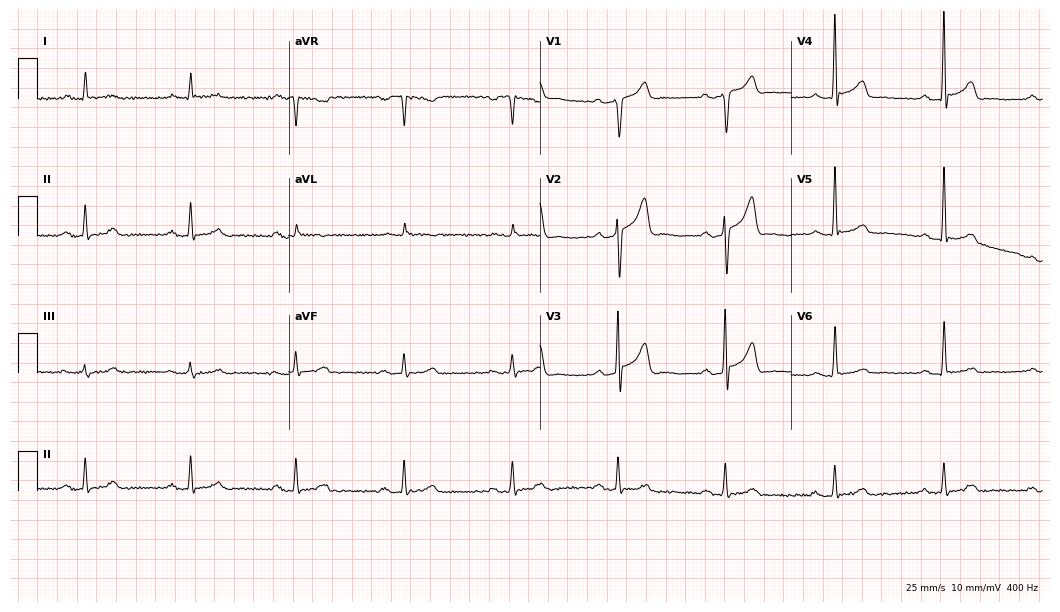
ECG (10.2-second recording at 400 Hz) — a male patient, 71 years old. Labelled as a normal ECG.